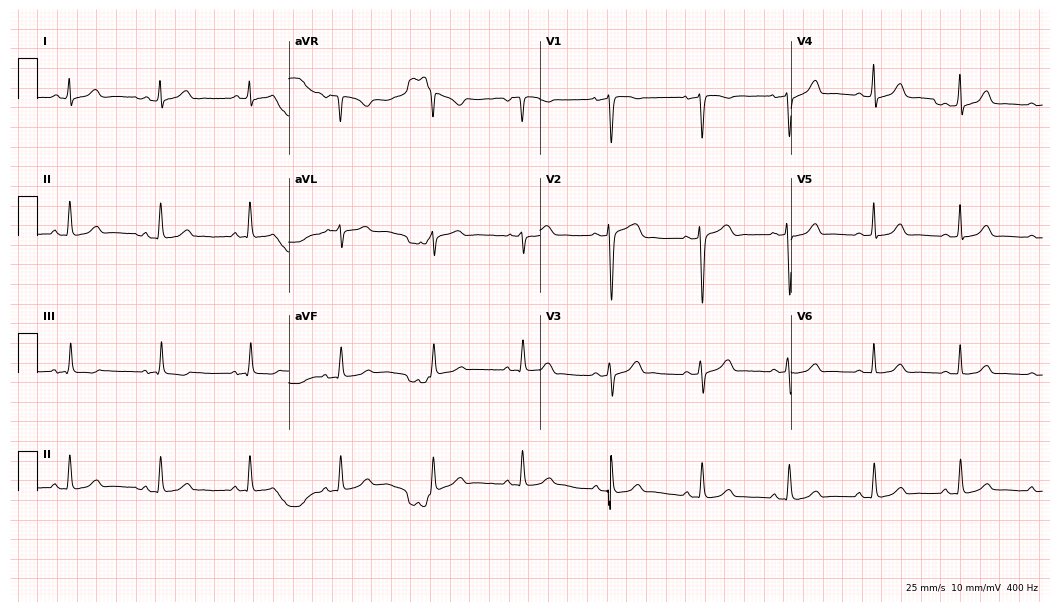
Electrocardiogram, a female patient, 40 years old. Overall reading on record: normal ECG.